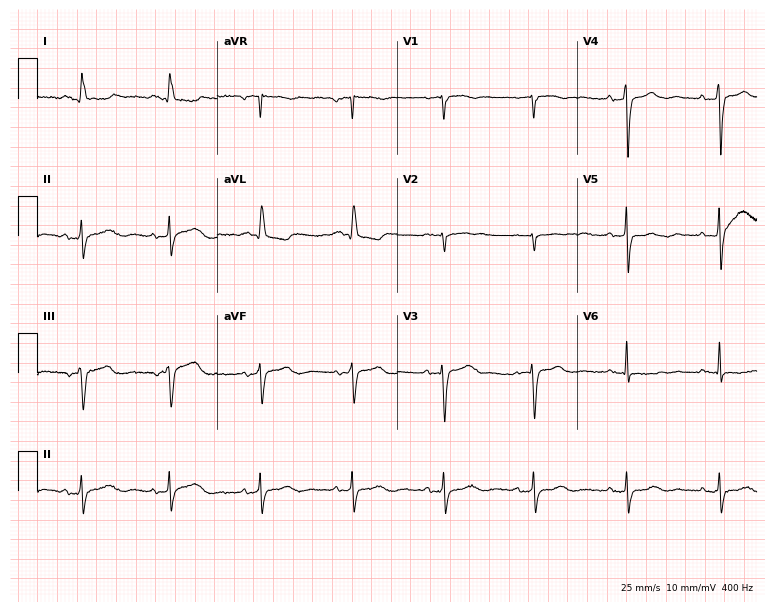
ECG (7.3-second recording at 400 Hz) — a 60-year-old female patient. Screened for six findings — first-degree AV block, right bundle branch block (RBBB), left bundle branch block (LBBB), sinus bradycardia, atrial fibrillation (AF), sinus tachycardia — none is recorded.